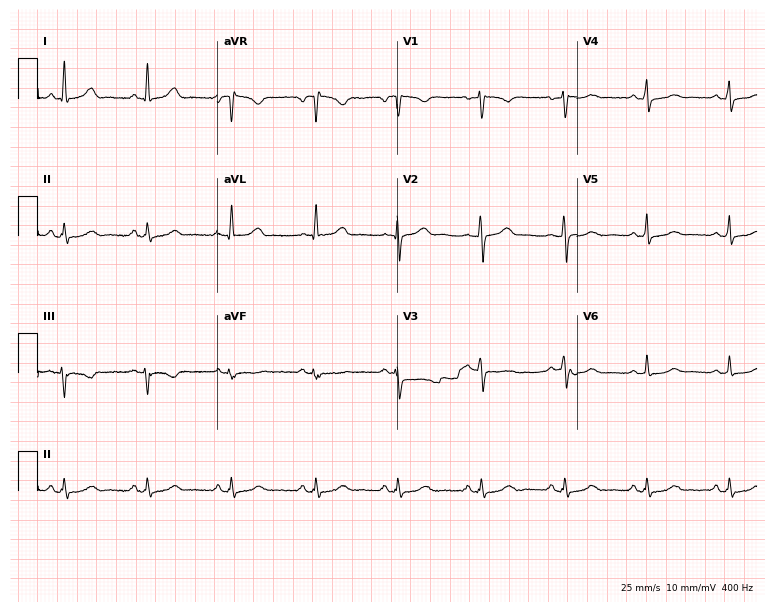
12-lead ECG from a female patient, 48 years old. Labelled as a normal ECG.